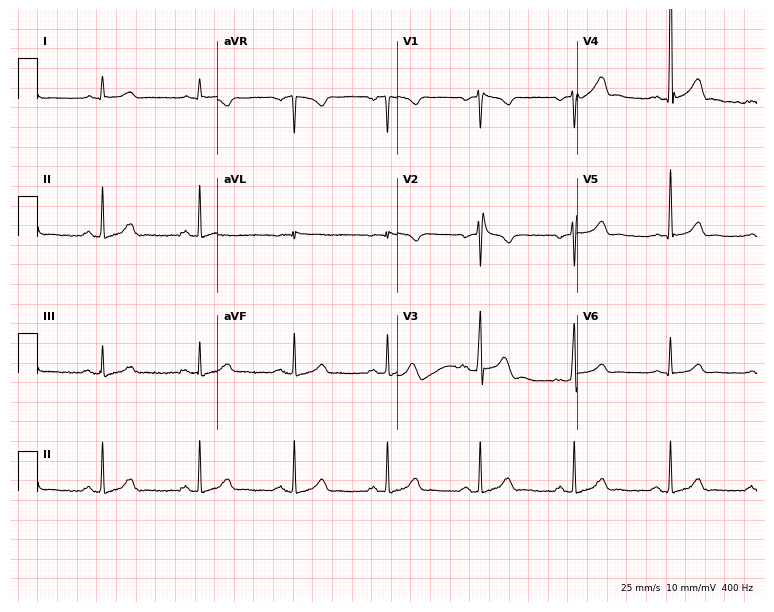
Resting 12-lead electrocardiogram (7.3-second recording at 400 Hz). Patient: a man, 50 years old. None of these six findings is recorded: first-degree AV block, right bundle branch block, left bundle branch block, sinus bradycardia, atrial fibrillation, sinus tachycardia.